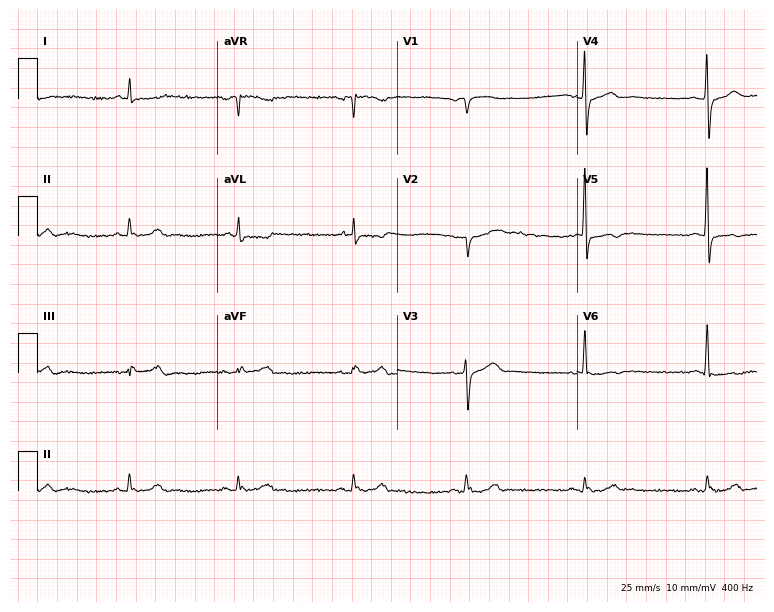
Resting 12-lead electrocardiogram. Patient: a male, 78 years old. None of these six findings is recorded: first-degree AV block, right bundle branch block, left bundle branch block, sinus bradycardia, atrial fibrillation, sinus tachycardia. Only these six findings were labelled.